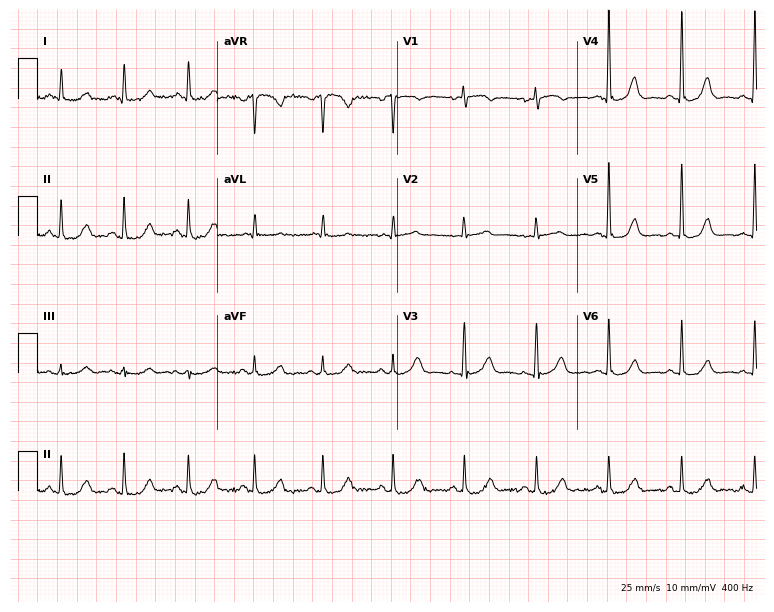
Resting 12-lead electrocardiogram. Patient: an 80-year-old female. Read as a normal ECG.